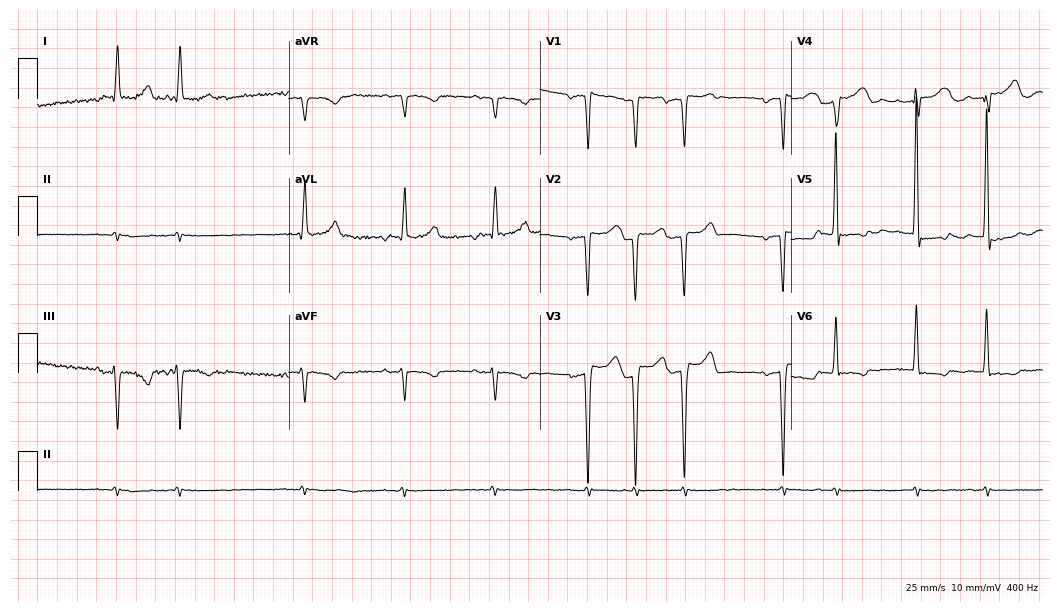
Electrocardiogram, a 79-year-old female patient. Of the six screened findings (first-degree AV block, right bundle branch block (RBBB), left bundle branch block (LBBB), sinus bradycardia, atrial fibrillation (AF), sinus tachycardia), none is recorded.